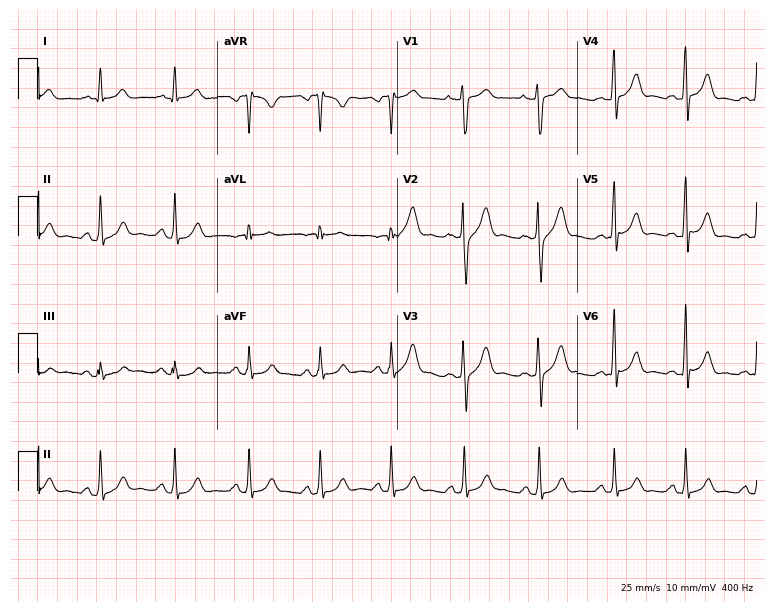
12-lead ECG (7.3-second recording at 400 Hz) from a man, 32 years old. Labelled as a normal ECG.